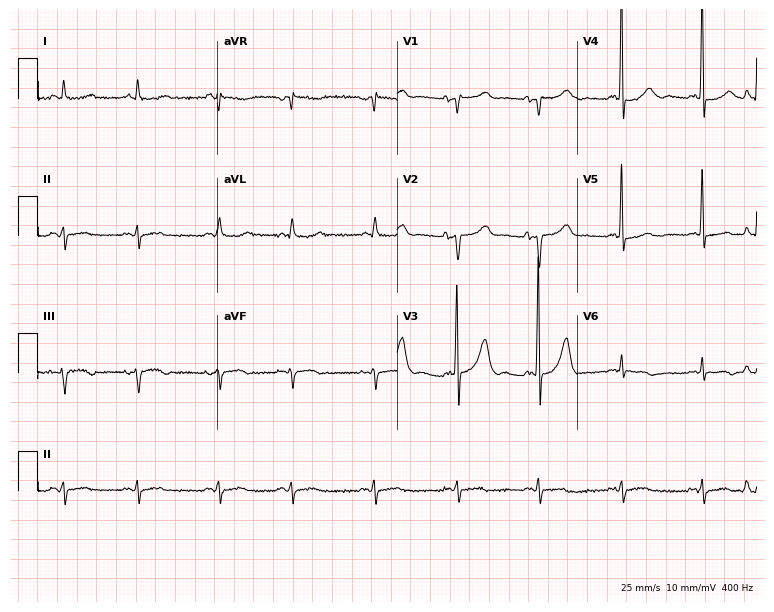
ECG — a male patient, 83 years old. Screened for six findings — first-degree AV block, right bundle branch block, left bundle branch block, sinus bradycardia, atrial fibrillation, sinus tachycardia — none is recorded.